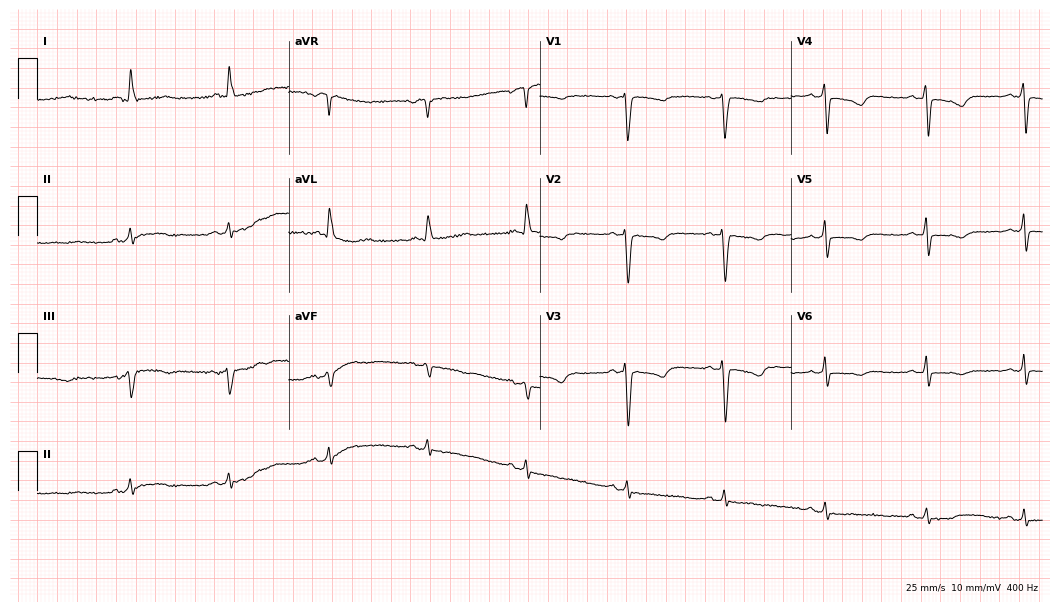
ECG (10.2-second recording at 400 Hz) — a woman, 62 years old. Screened for six findings — first-degree AV block, right bundle branch block, left bundle branch block, sinus bradycardia, atrial fibrillation, sinus tachycardia — none is recorded.